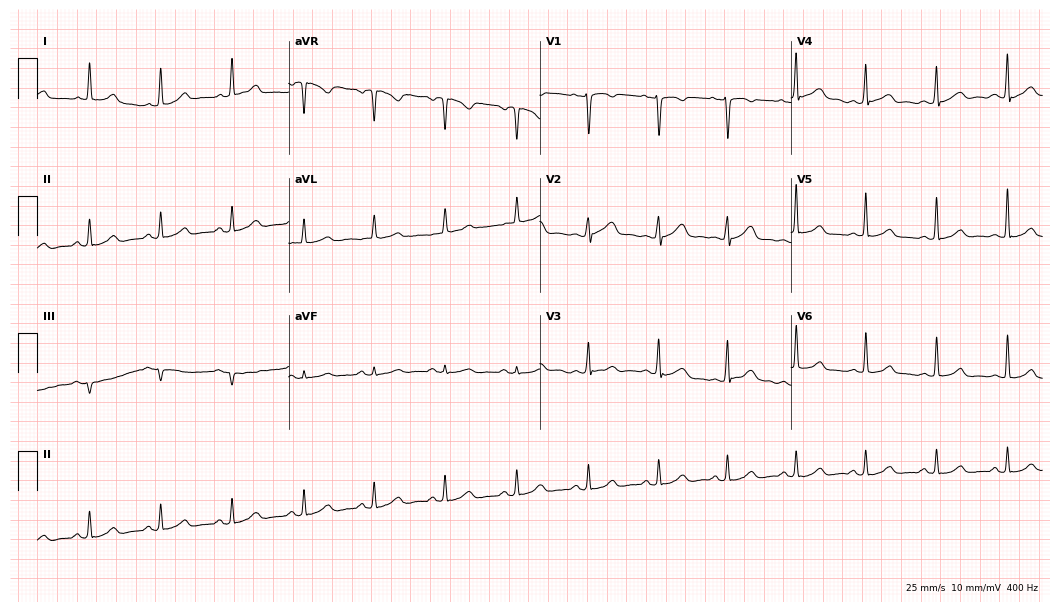
Resting 12-lead electrocardiogram (10.2-second recording at 400 Hz). Patient: a female, 36 years old. Read as a normal ECG.